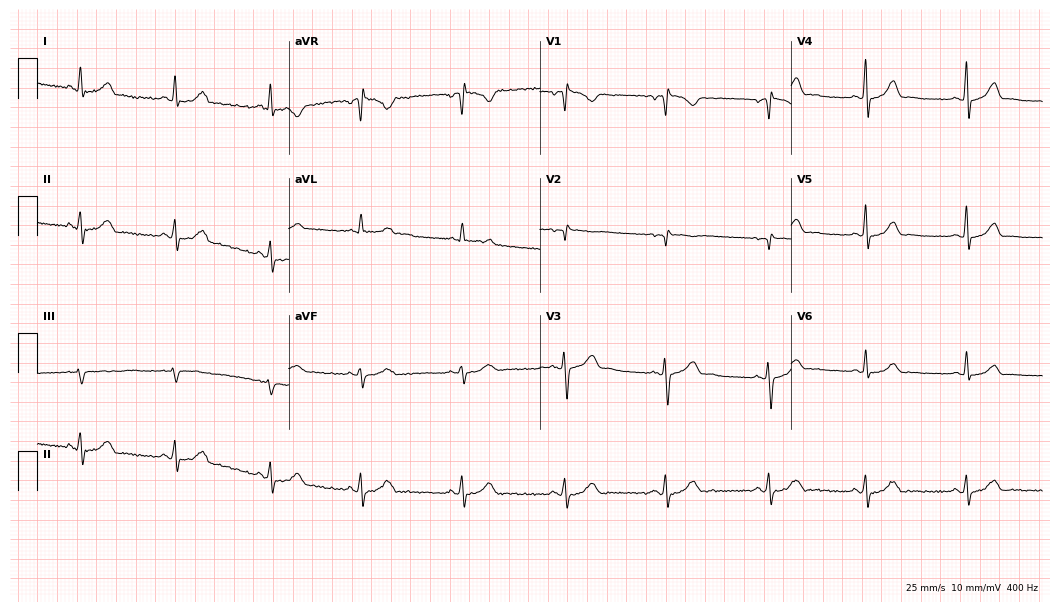
ECG (10.2-second recording at 400 Hz) — a woman, 33 years old. Screened for six findings — first-degree AV block, right bundle branch block (RBBB), left bundle branch block (LBBB), sinus bradycardia, atrial fibrillation (AF), sinus tachycardia — none is recorded. Other findings, if any, are not listed.